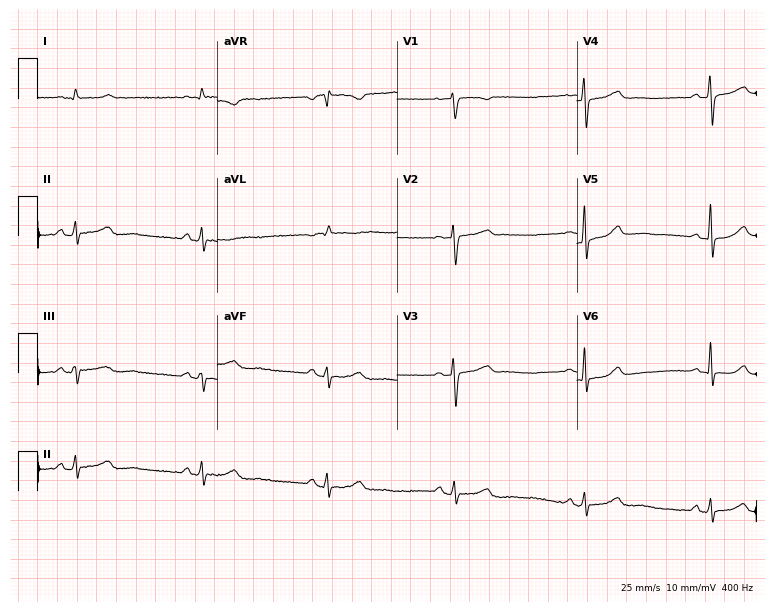
ECG — a female, 67 years old. Findings include sinus bradycardia (a sinus rate of 50 beats per minute or less).